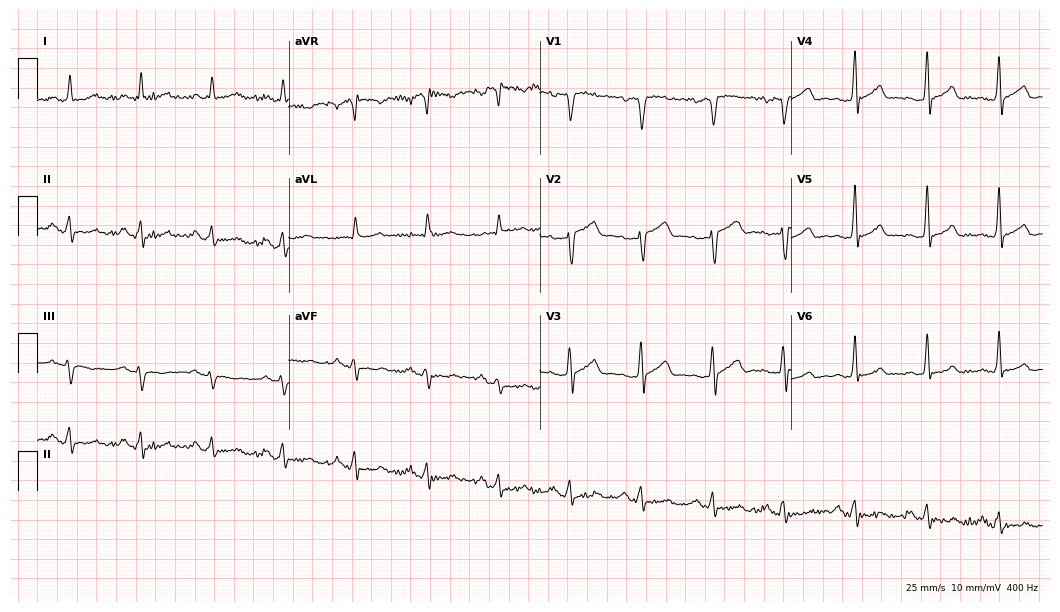
ECG — a male patient, 54 years old. Screened for six findings — first-degree AV block, right bundle branch block, left bundle branch block, sinus bradycardia, atrial fibrillation, sinus tachycardia — none is recorded.